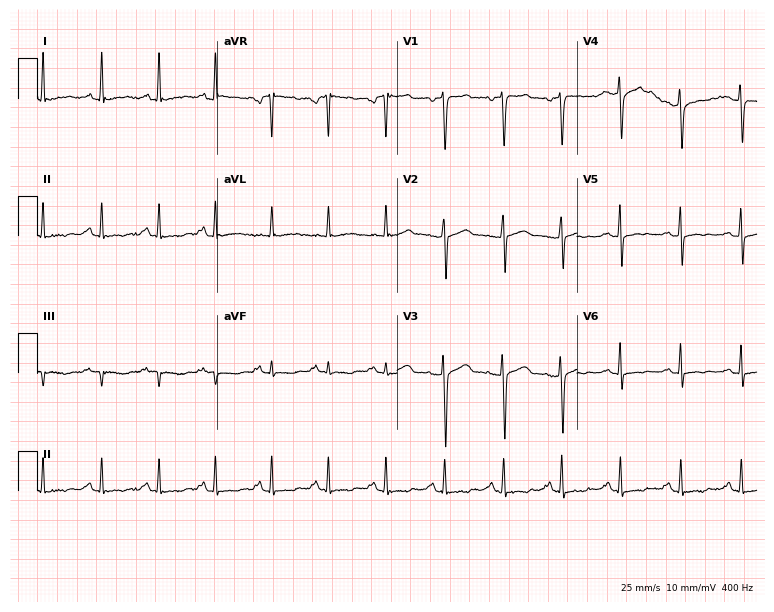
Resting 12-lead electrocardiogram. Patient: a woman, 44 years old. None of these six findings is recorded: first-degree AV block, right bundle branch block (RBBB), left bundle branch block (LBBB), sinus bradycardia, atrial fibrillation (AF), sinus tachycardia. Other findings, if any, are not listed.